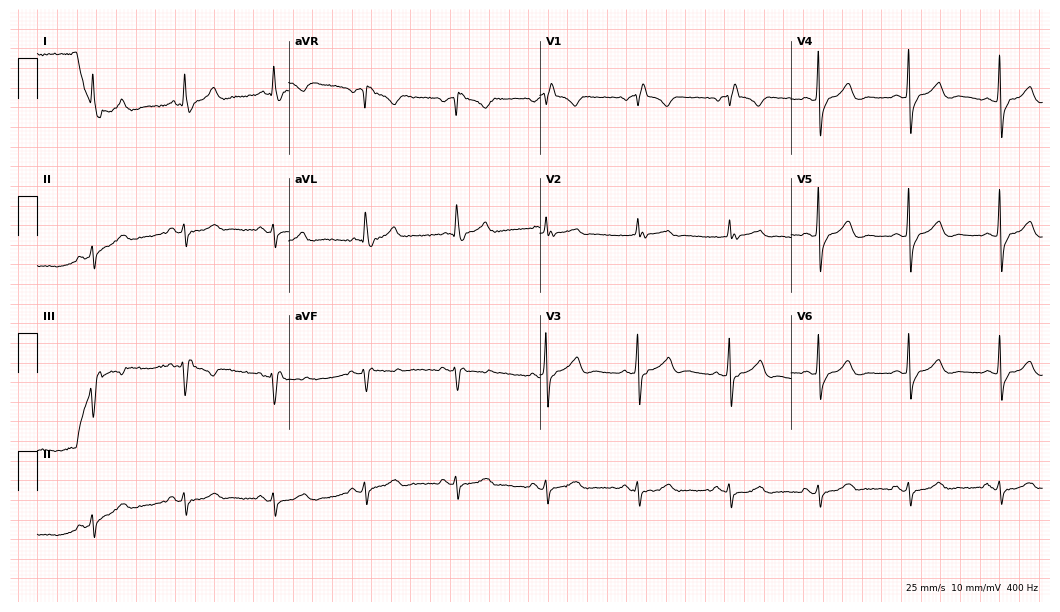
Standard 12-lead ECG recorded from a female, 71 years old (10.2-second recording at 400 Hz). None of these six findings is recorded: first-degree AV block, right bundle branch block (RBBB), left bundle branch block (LBBB), sinus bradycardia, atrial fibrillation (AF), sinus tachycardia.